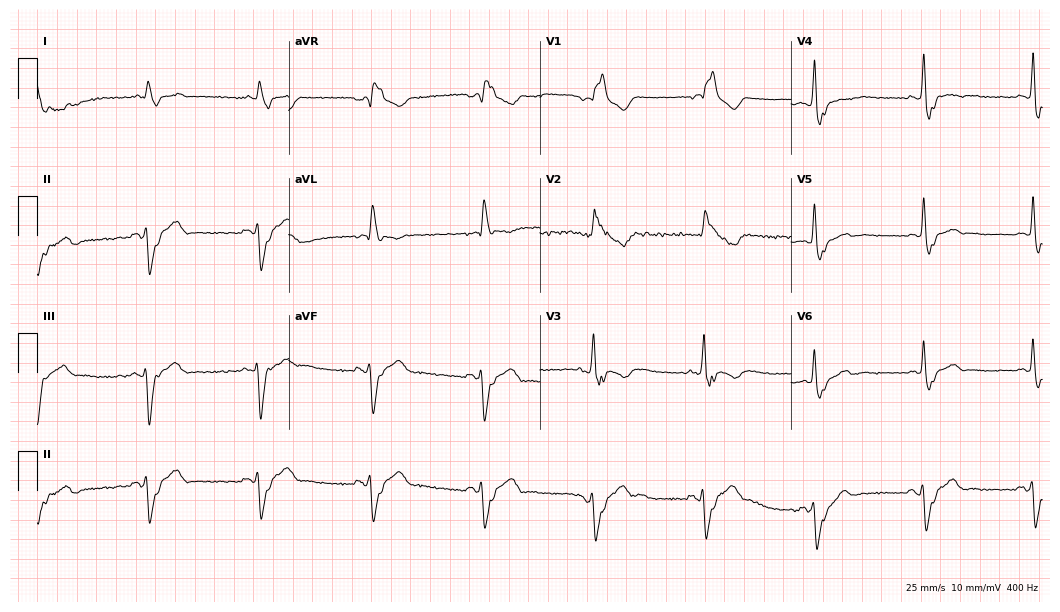
Resting 12-lead electrocardiogram (10.2-second recording at 400 Hz). Patient: a 73-year-old man. The tracing shows right bundle branch block.